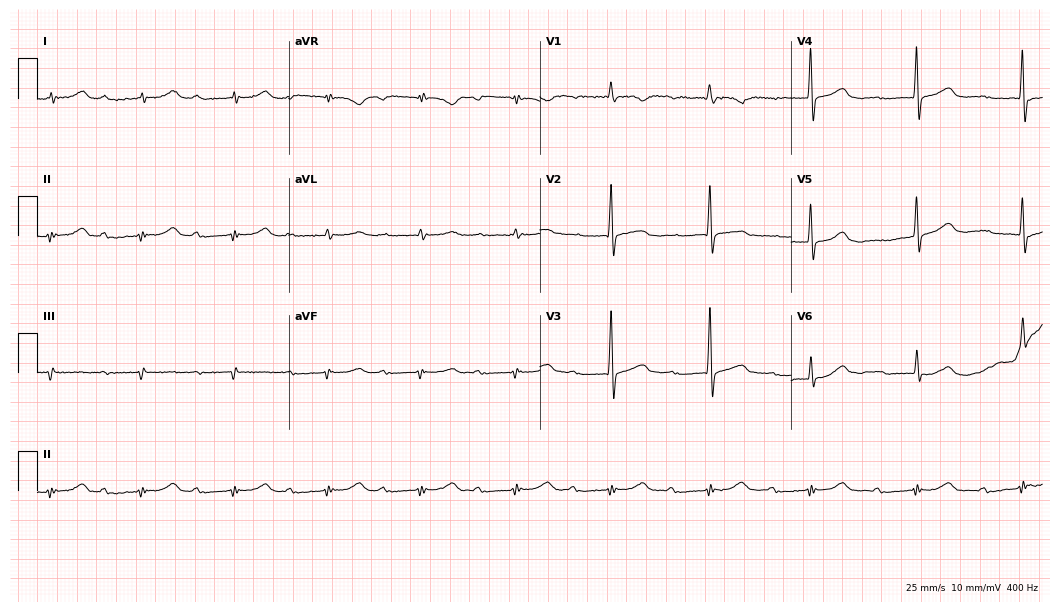
12-lead ECG (10.2-second recording at 400 Hz) from an 84-year-old male patient. Screened for six findings — first-degree AV block, right bundle branch block (RBBB), left bundle branch block (LBBB), sinus bradycardia, atrial fibrillation (AF), sinus tachycardia — none is recorded.